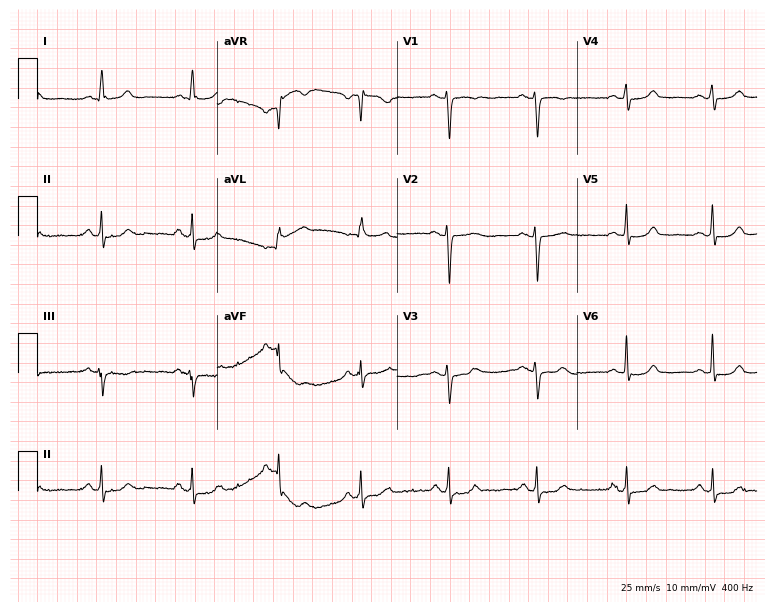
Electrocardiogram, a 44-year-old female patient. Overall reading on record: normal ECG.